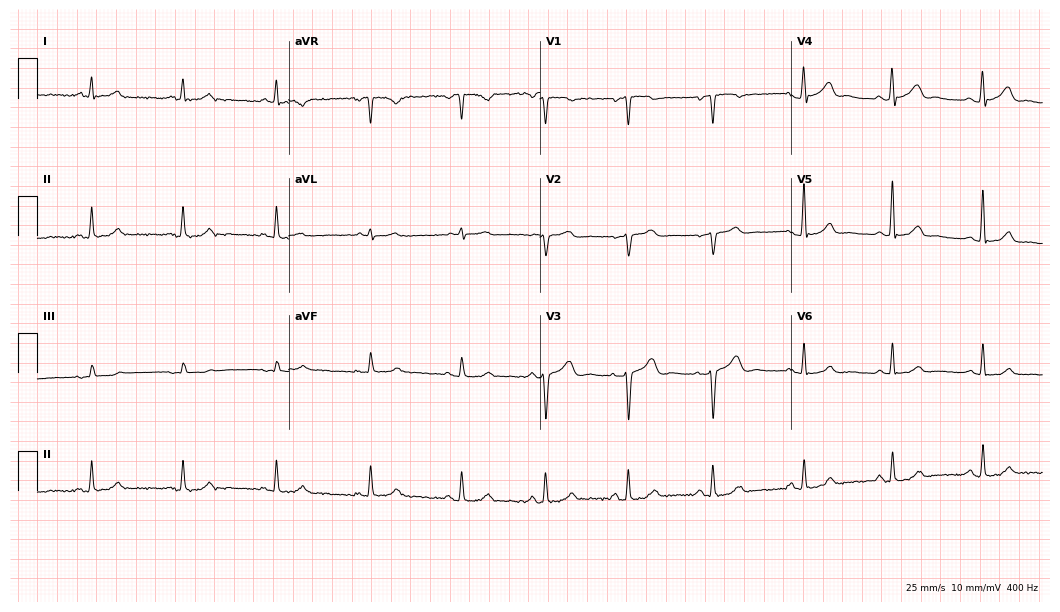
Resting 12-lead electrocardiogram. Patient: a 48-year-old woman. Read as a normal ECG.